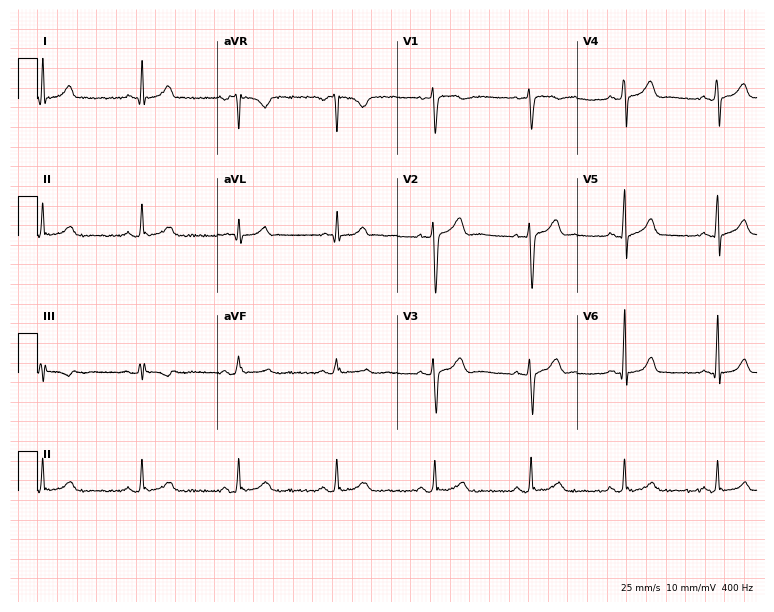
Standard 12-lead ECG recorded from a 53-year-old man (7.3-second recording at 400 Hz). Read as a normal ECG.